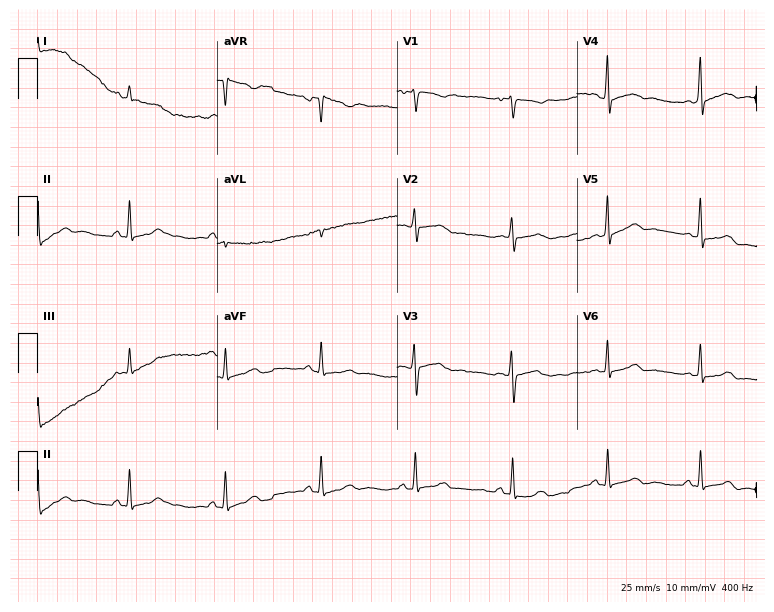
Electrocardiogram (7.3-second recording at 400 Hz), a 20-year-old woman. Of the six screened findings (first-degree AV block, right bundle branch block (RBBB), left bundle branch block (LBBB), sinus bradycardia, atrial fibrillation (AF), sinus tachycardia), none is recorded. Other findings, if any, are not listed.